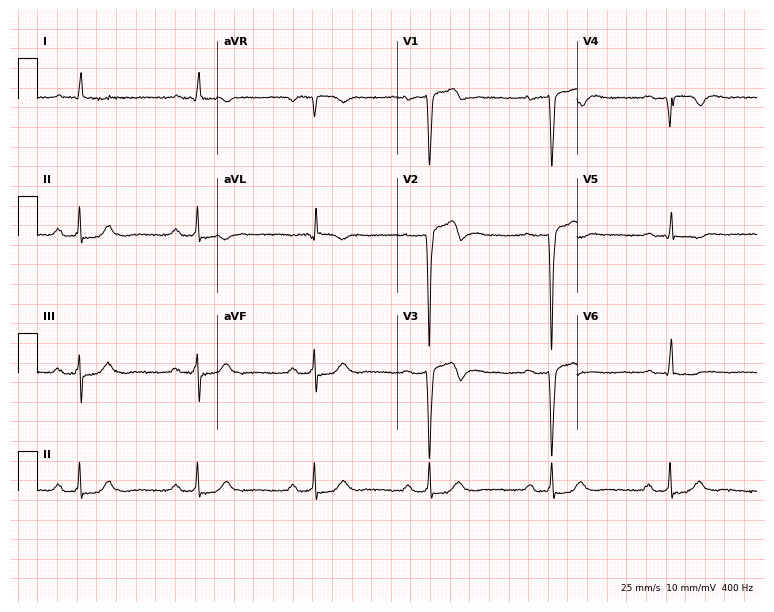
Standard 12-lead ECG recorded from a 66-year-old male patient (7.3-second recording at 400 Hz). The tracing shows first-degree AV block, sinus bradycardia (a sinus rate of 50 beats per minute or less).